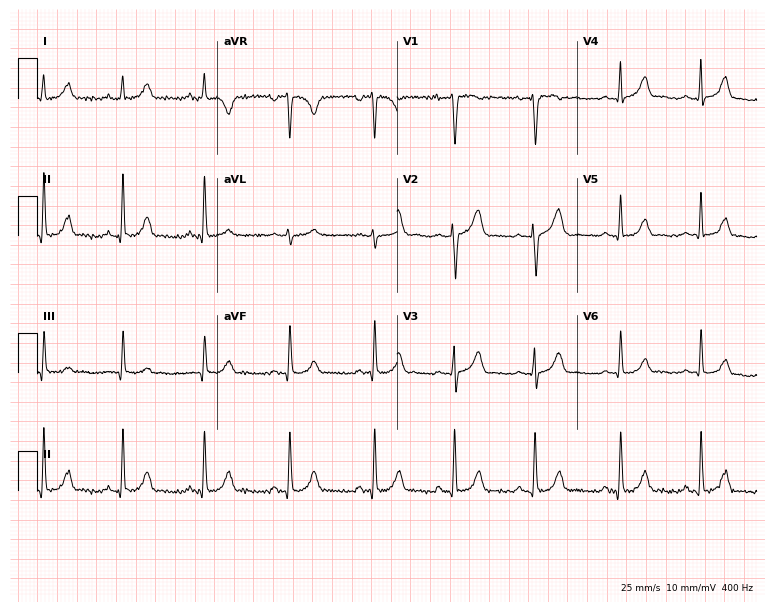
12-lead ECG from a 24-year-old female patient. Labelled as a normal ECG.